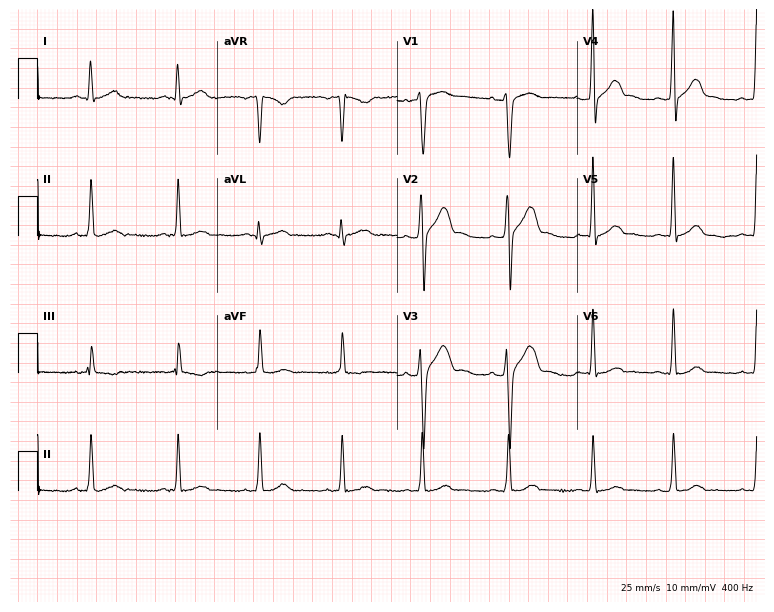
ECG (7.3-second recording at 400 Hz) — a male patient, 21 years old. Labelled as a normal ECG.